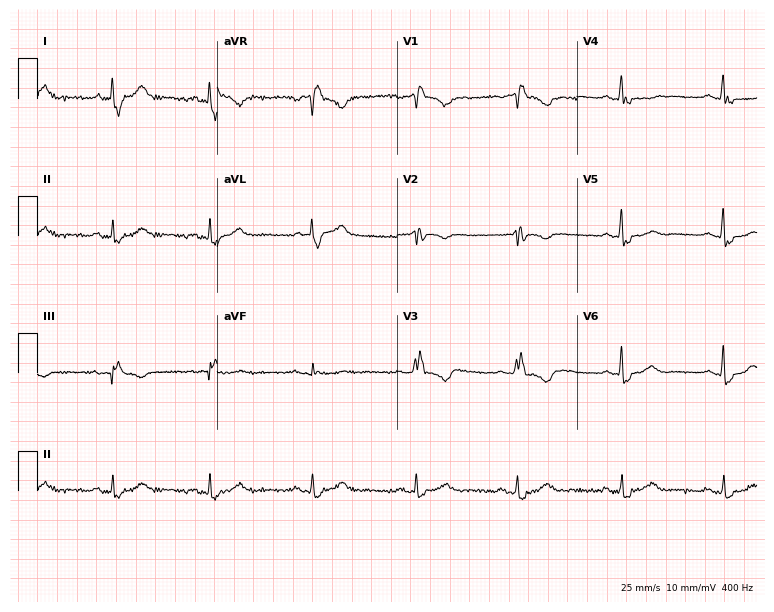
Resting 12-lead electrocardiogram (7.3-second recording at 400 Hz). Patient: a female, 57 years old. The tracing shows right bundle branch block (RBBB).